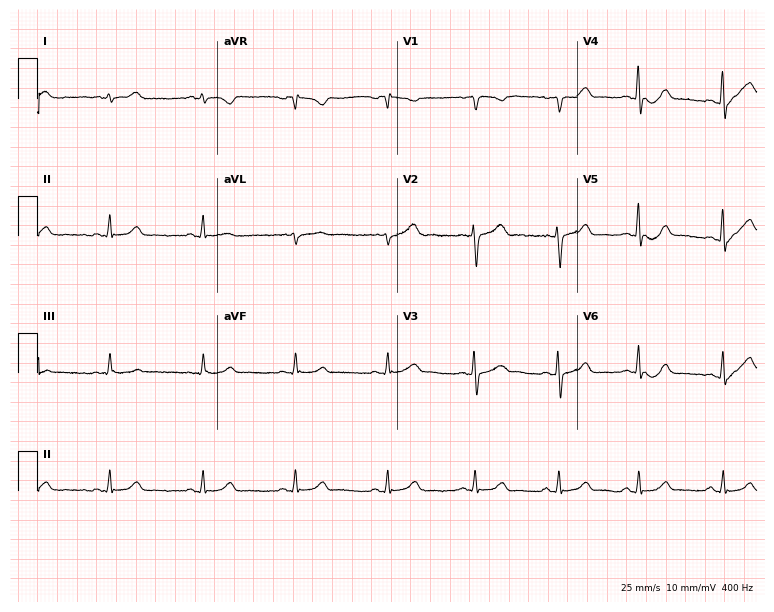
Electrocardiogram (7.3-second recording at 400 Hz), a 22-year-old female patient. Overall reading on record: normal ECG.